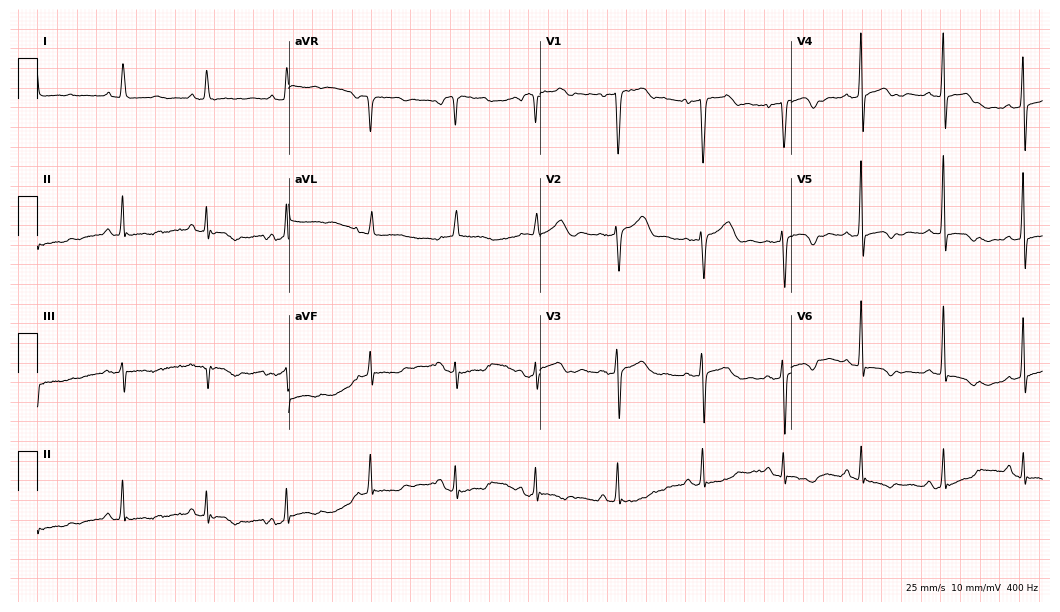
ECG (10.2-second recording at 400 Hz) — a 54-year-old female patient. Screened for six findings — first-degree AV block, right bundle branch block (RBBB), left bundle branch block (LBBB), sinus bradycardia, atrial fibrillation (AF), sinus tachycardia — none is recorded. Only these six findings were labelled.